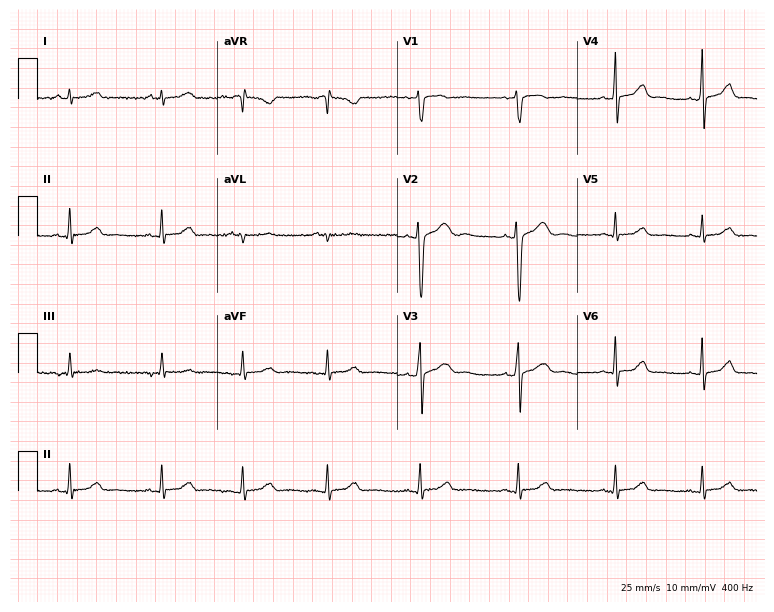
Standard 12-lead ECG recorded from a woman, 32 years old. None of these six findings is recorded: first-degree AV block, right bundle branch block, left bundle branch block, sinus bradycardia, atrial fibrillation, sinus tachycardia. Other findings, if any, are not listed.